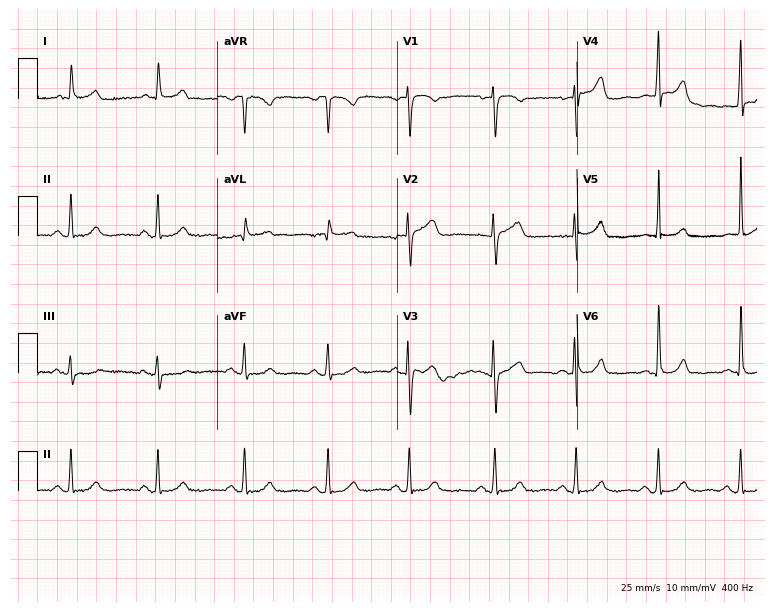
Electrocardiogram (7.3-second recording at 400 Hz), a 62-year-old woman. Of the six screened findings (first-degree AV block, right bundle branch block, left bundle branch block, sinus bradycardia, atrial fibrillation, sinus tachycardia), none is recorded.